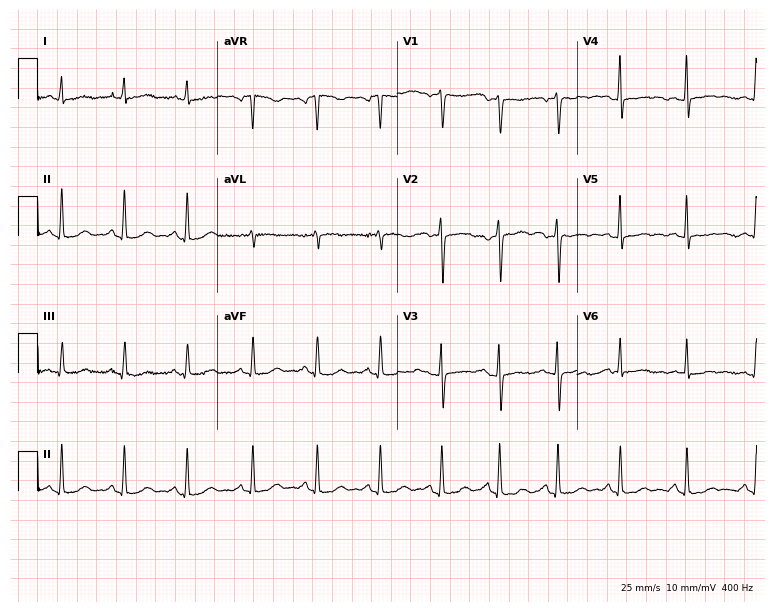
12-lead ECG (7.3-second recording at 400 Hz) from a 38-year-old woman. Screened for six findings — first-degree AV block, right bundle branch block, left bundle branch block, sinus bradycardia, atrial fibrillation, sinus tachycardia — none is recorded. Findings outside these six are not listed.